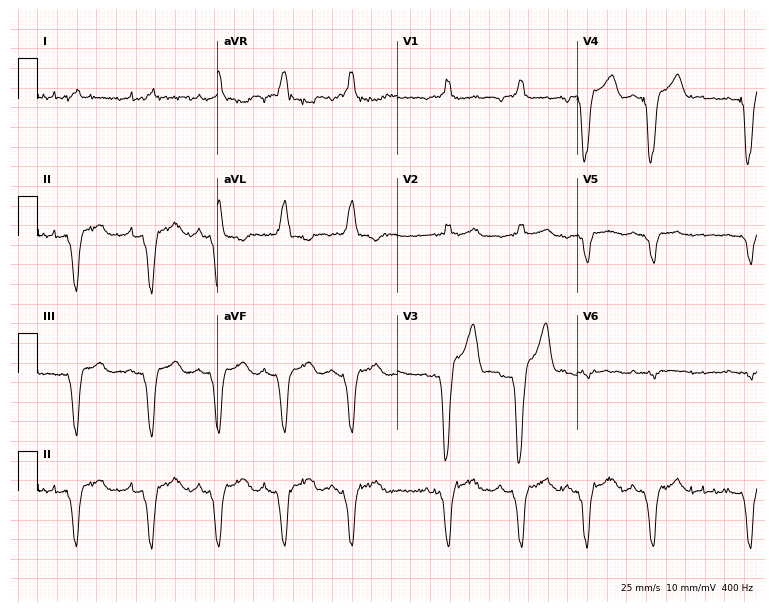
12-lead ECG from a male, 58 years old. Screened for six findings — first-degree AV block, right bundle branch block, left bundle branch block, sinus bradycardia, atrial fibrillation, sinus tachycardia — none is recorded.